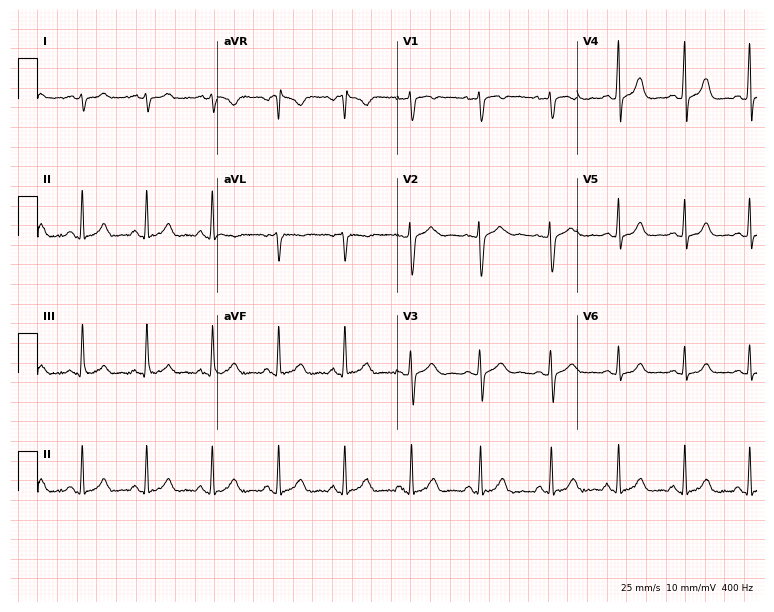
ECG — a female patient, 18 years old. Screened for six findings — first-degree AV block, right bundle branch block (RBBB), left bundle branch block (LBBB), sinus bradycardia, atrial fibrillation (AF), sinus tachycardia — none is recorded.